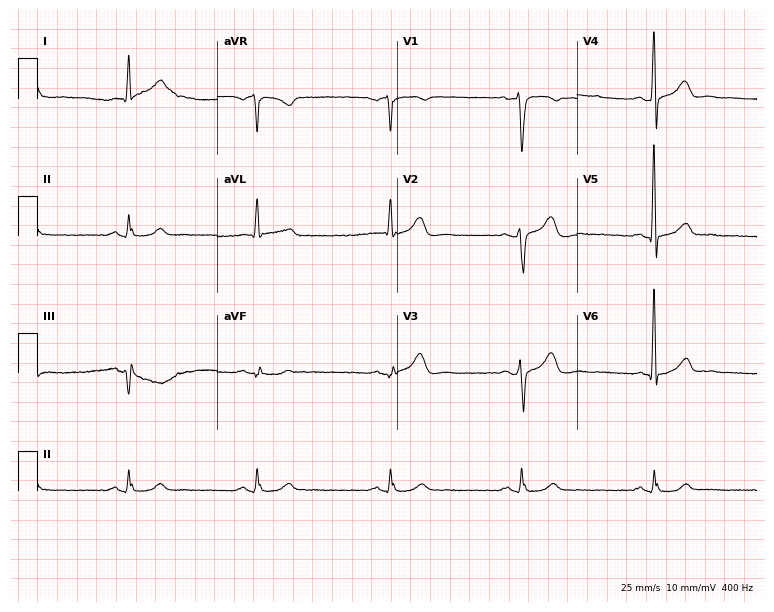
Electrocardiogram, a male, 49 years old. Interpretation includes sinus bradycardia (a sinus rate of 50 beats per minute or less).